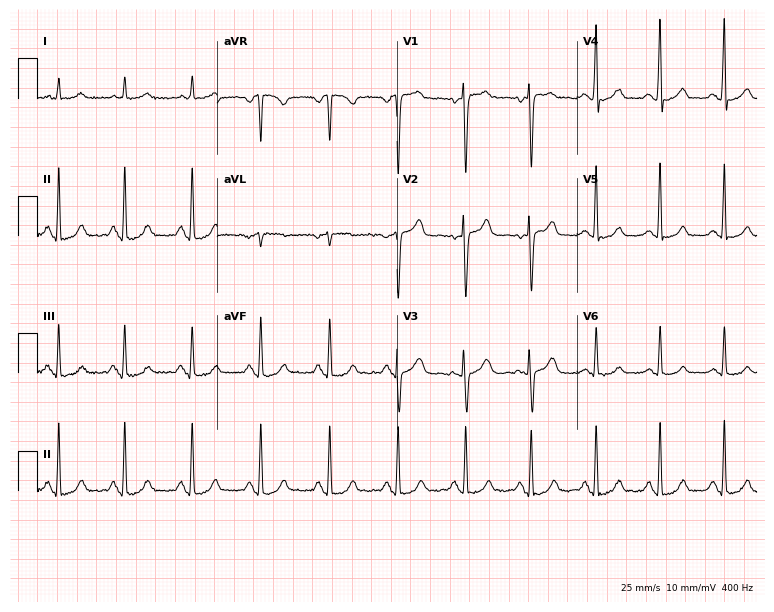
12-lead ECG from a female patient, 62 years old. Recorded interpretation: within normal limits.